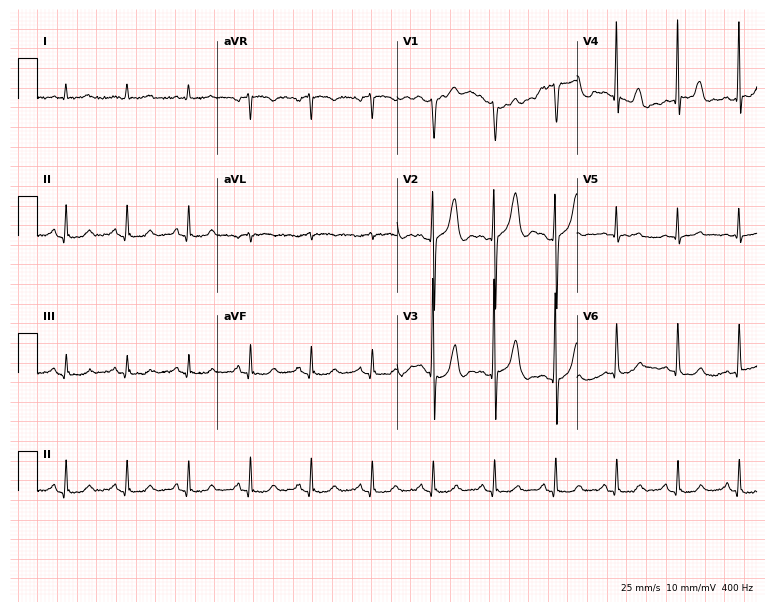
ECG — a male, 85 years old. Screened for six findings — first-degree AV block, right bundle branch block, left bundle branch block, sinus bradycardia, atrial fibrillation, sinus tachycardia — none is recorded.